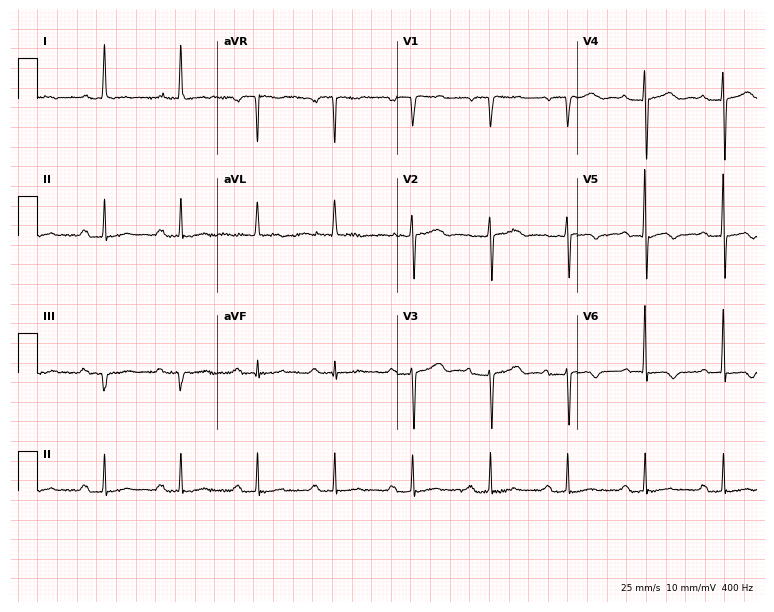
ECG — an 82-year-old female patient. Screened for six findings — first-degree AV block, right bundle branch block (RBBB), left bundle branch block (LBBB), sinus bradycardia, atrial fibrillation (AF), sinus tachycardia — none is recorded. Findings outside these six are not listed.